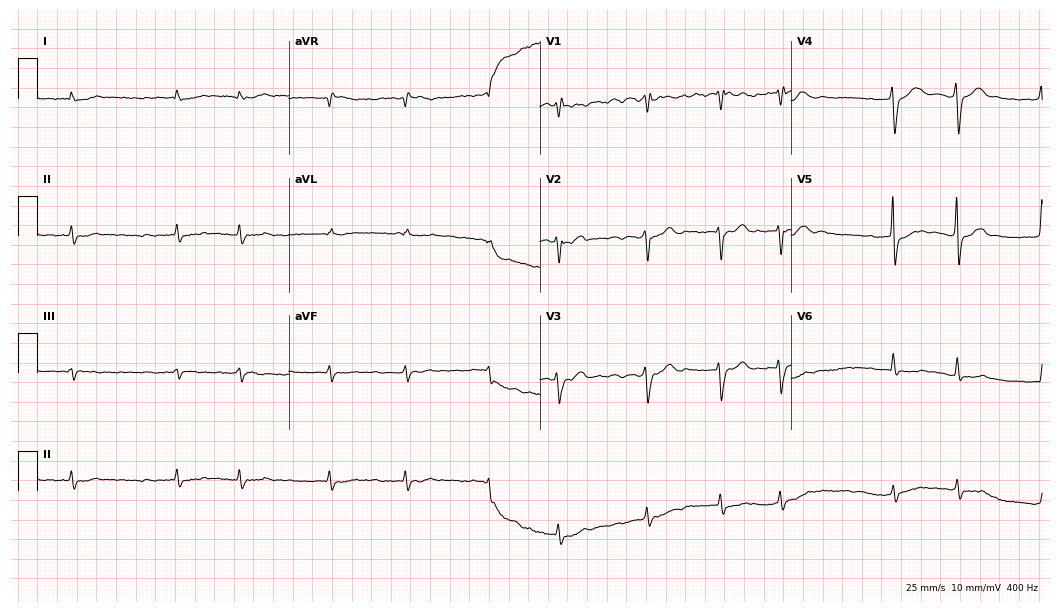
Standard 12-lead ECG recorded from a 79-year-old female patient. The tracing shows atrial fibrillation.